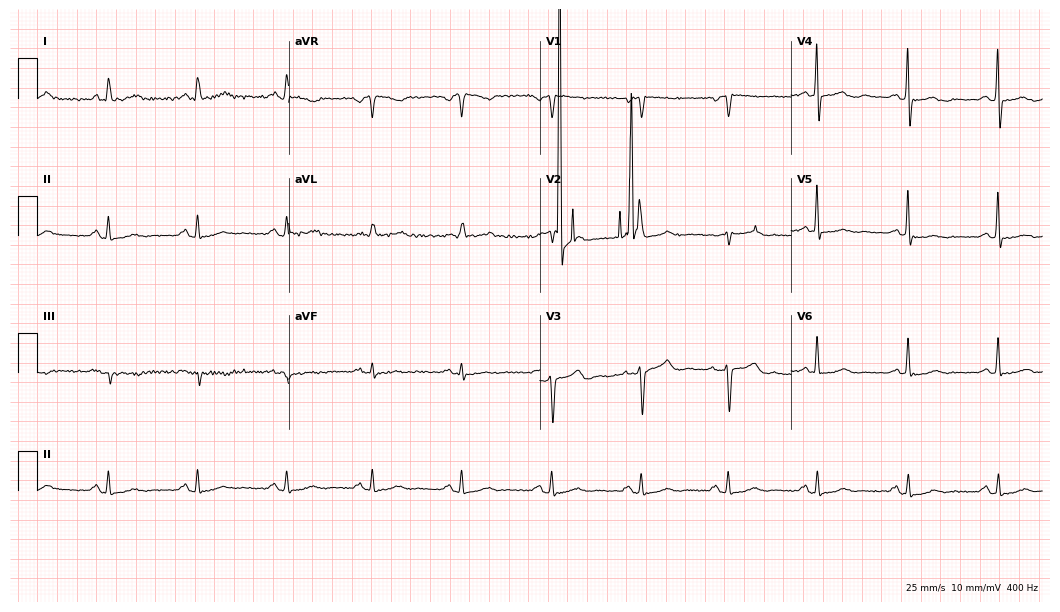
12-lead ECG from a female, 65 years old. No first-degree AV block, right bundle branch block, left bundle branch block, sinus bradycardia, atrial fibrillation or sinus tachycardia recorded for this tracing. Findings outside these six are not listed.